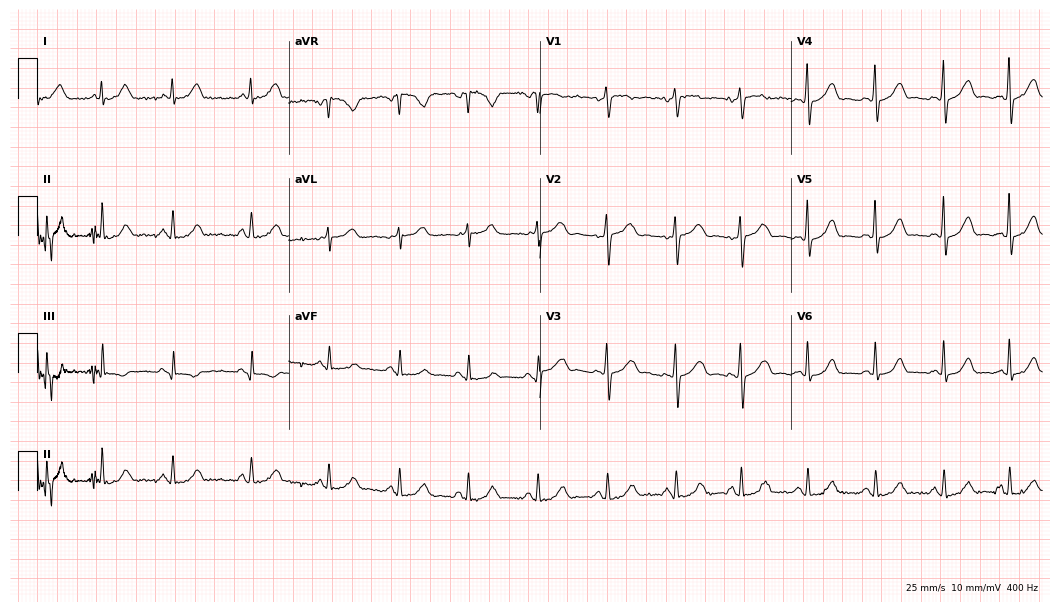
12-lead ECG from a 31-year-old woman (10.2-second recording at 400 Hz). Recorded interpretation: within normal limits.